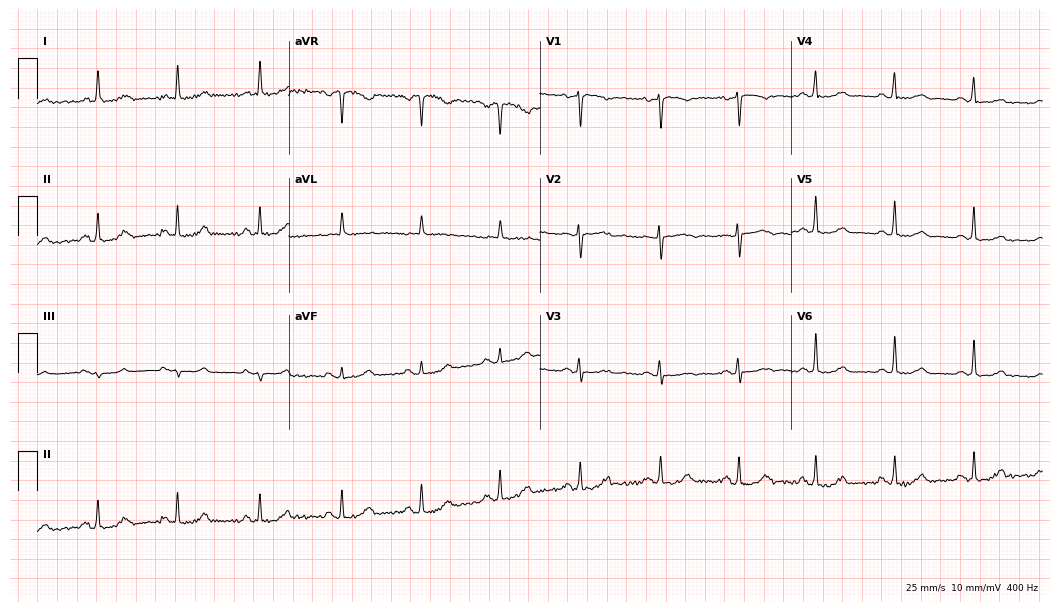
12-lead ECG (10.2-second recording at 400 Hz) from a female, 69 years old. Labelled as a normal ECG.